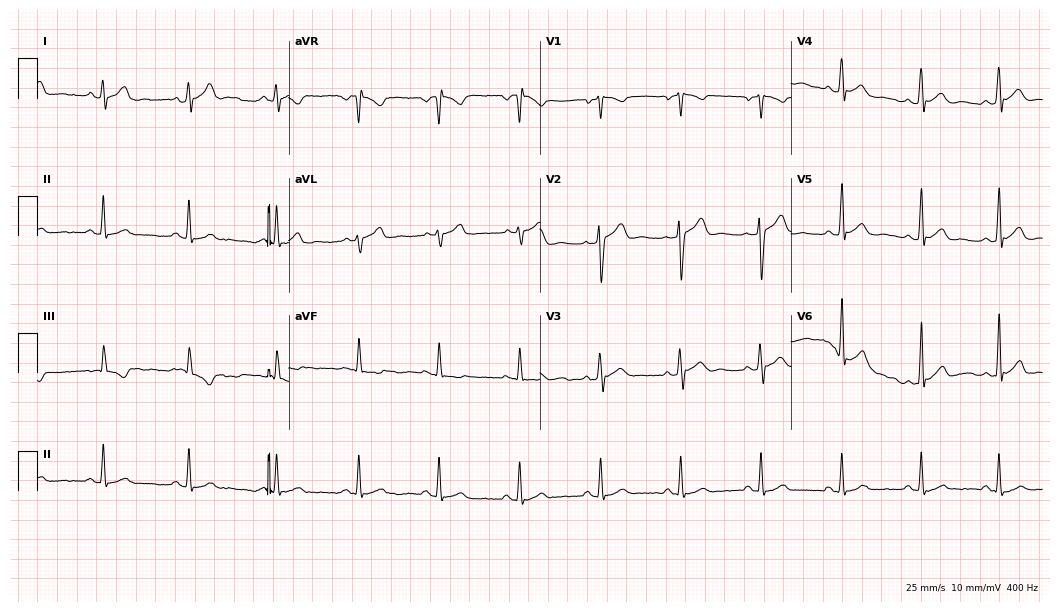
Electrocardiogram, a 28-year-old male patient. Overall reading on record: normal ECG.